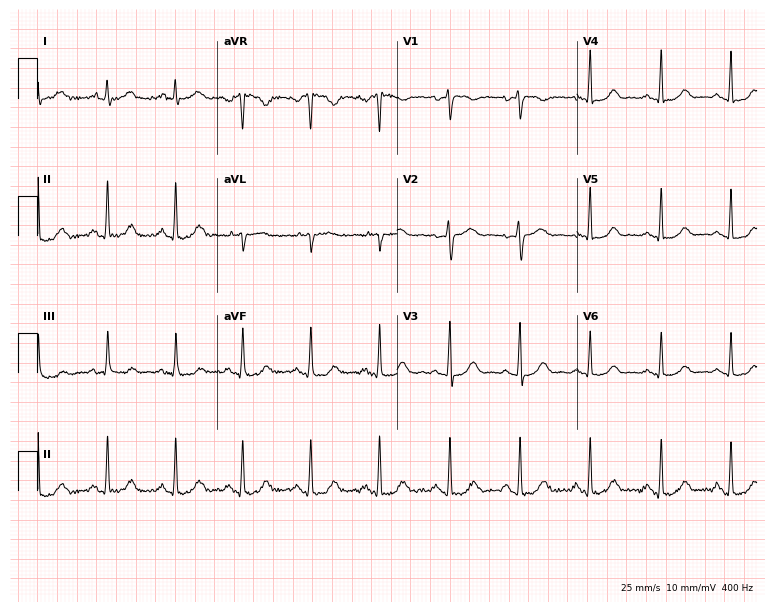
12-lead ECG from a 54-year-old female patient (7.3-second recording at 400 Hz). No first-degree AV block, right bundle branch block (RBBB), left bundle branch block (LBBB), sinus bradycardia, atrial fibrillation (AF) or sinus tachycardia recorded for this tracing.